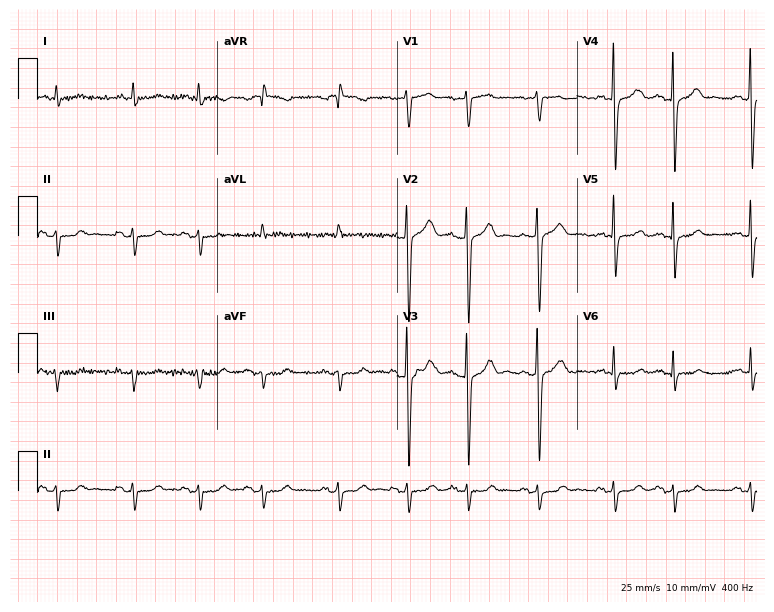
ECG — a 76-year-old male patient. Screened for six findings — first-degree AV block, right bundle branch block (RBBB), left bundle branch block (LBBB), sinus bradycardia, atrial fibrillation (AF), sinus tachycardia — none is recorded.